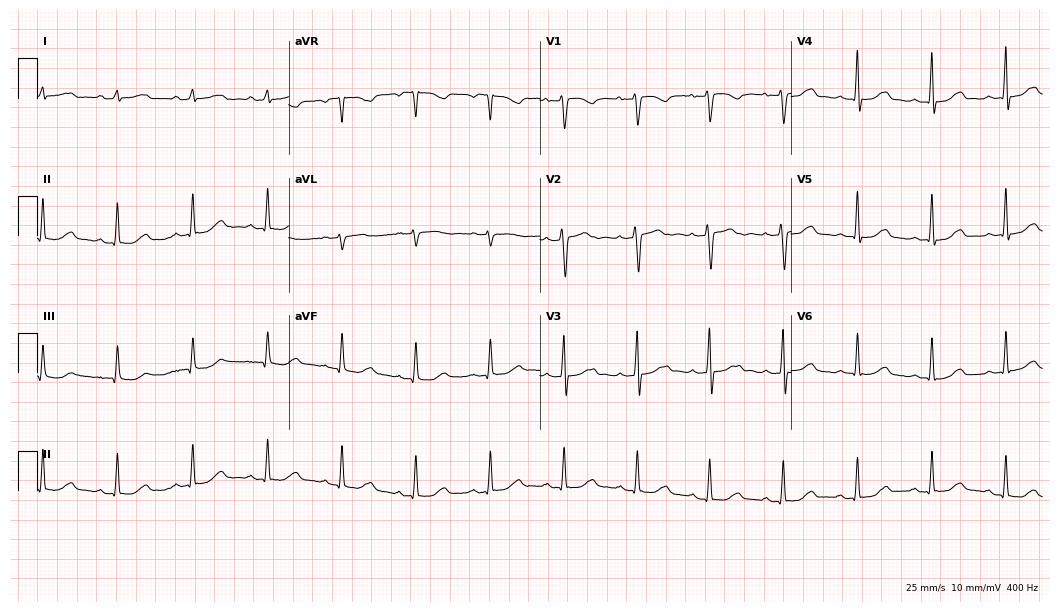
Resting 12-lead electrocardiogram (10.2-second recording at 400 Hz). Patient: a 44-year-old female. Read as a normal ECG.